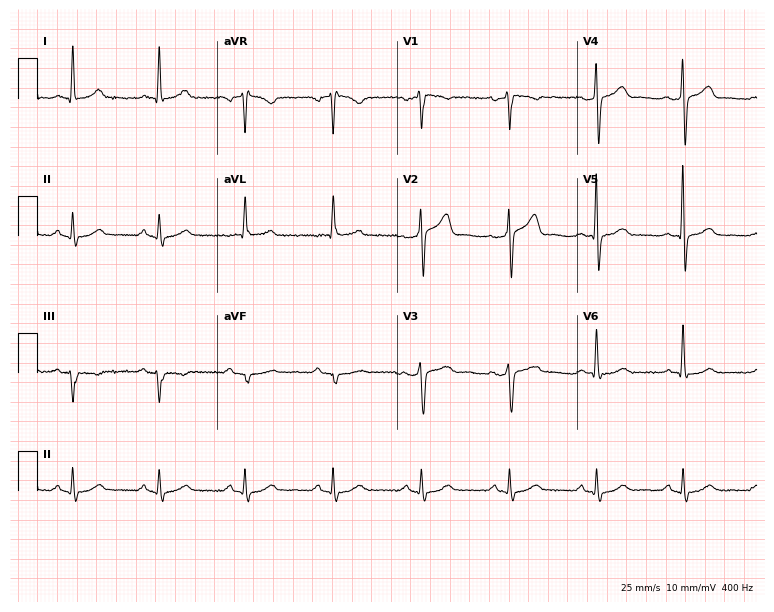
ECG (7.3-second recording at 400 Hz) — a 63-year-old male. Screened for six findings — first-degree AV block, right bundle branch block, left bundle branch block, sinus bradycardia, atrial fibrillation, sinus tachycardia — none is recorded.